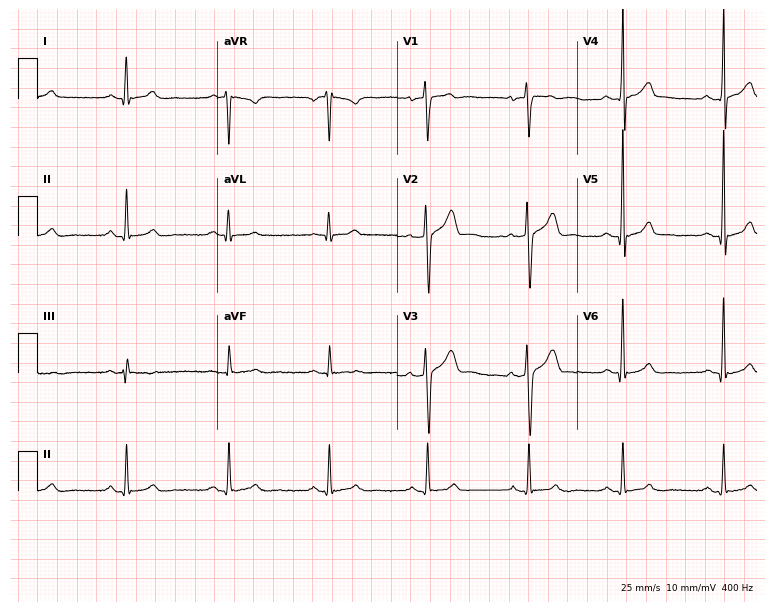
ECG — a 34-year-old male patient. Labelled as a normal ECG.